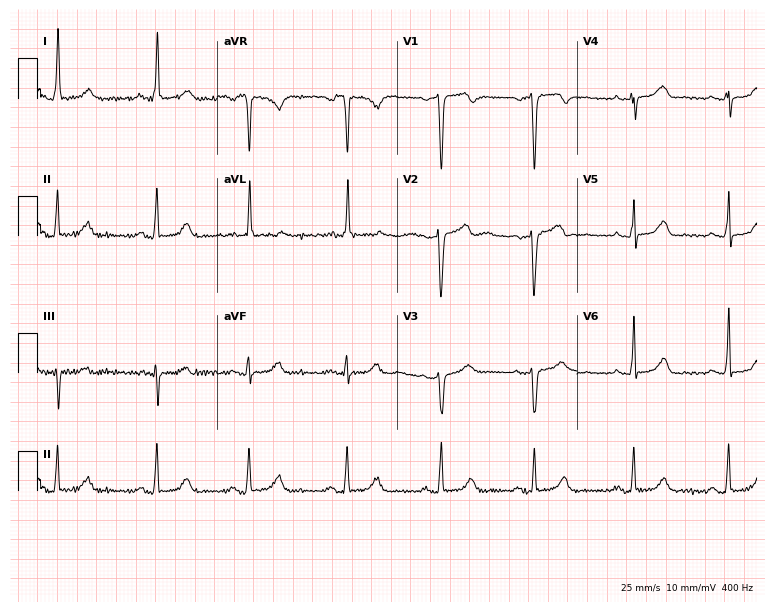
Electrocardiogram (7.3-second recording at 400 Hz), a woman, 63 years old. Overall reading on record: normal ECG.